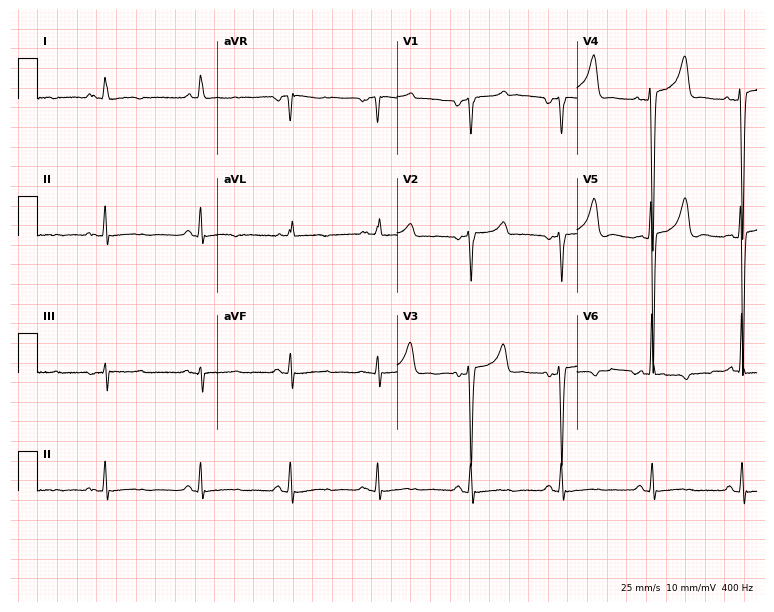
12-lead ECG from a 55-year-old male. Screened for six findings — first-degree AV block, right bundle branch block (RBBB), left bundle branch block (LBBB), sinus bradycardia, atrial fibrillation (AF), sinus tachycardia — none is recorded. Other findings, if any, are not listed.